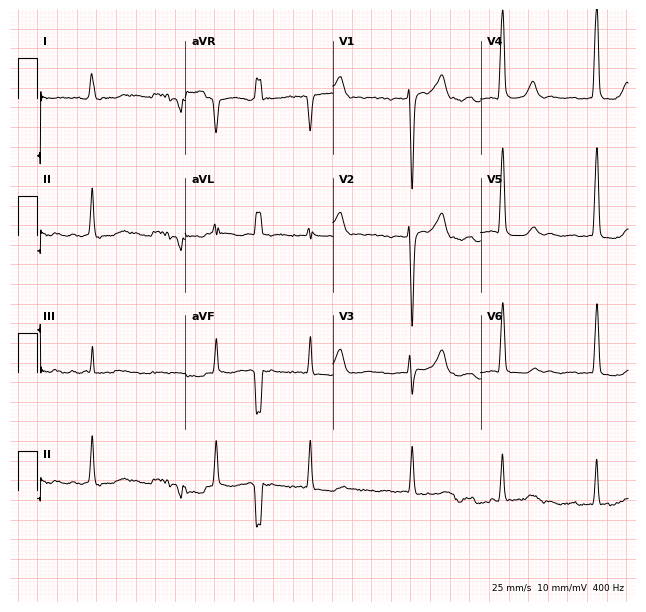
12-lead ECG from a male patient, 76 years old (6-second recording at 400 Hz). No first-degree AV block, right bundle branch block, left bundle branch block, sinus bradycardia, atrial fibrillation or sinus tachycardia recorded for this tracing. Other findings, if any, are not listed.